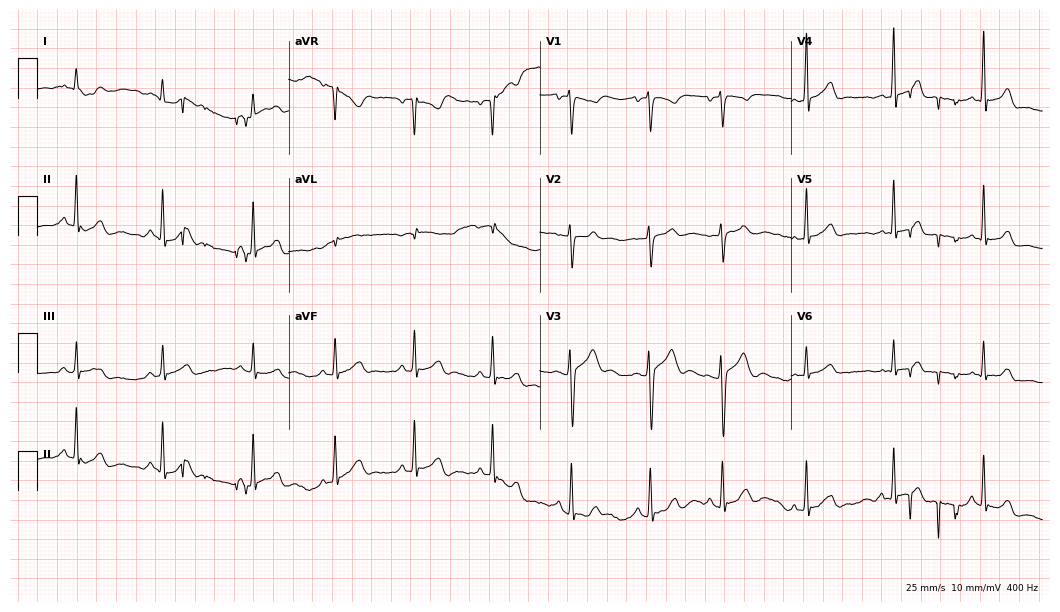
Electrocardiogram (10.2-second recording at 400 Hz), a 21-year-old man. Overall reading on record: normal ECG.